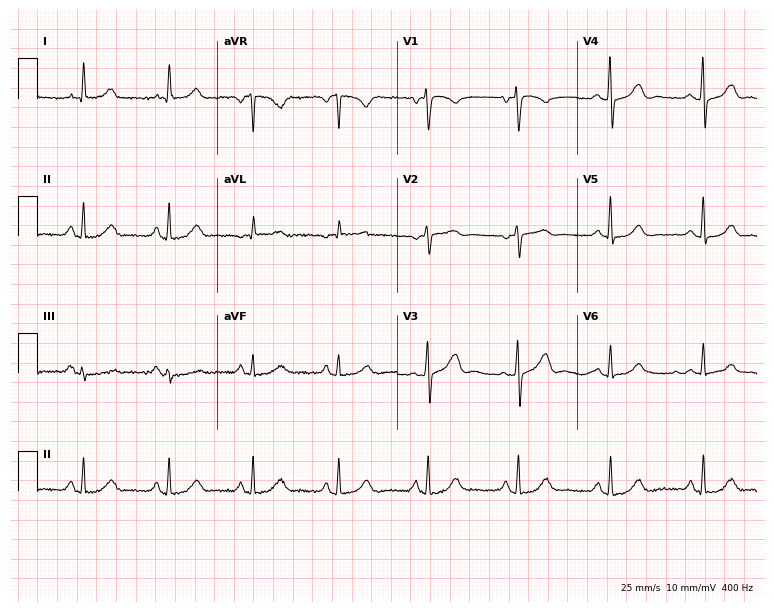
Electrocardiogram, a 72-year-old female patient. Of the six screened findings (first-degree AV block, right bundle branch block (RBBB), left bundle branch block (LBBB), sinus bradycardia, atrial fibrillation (AF), sinus tachycardia), none is recorded. Other findings, if any, are not listed.